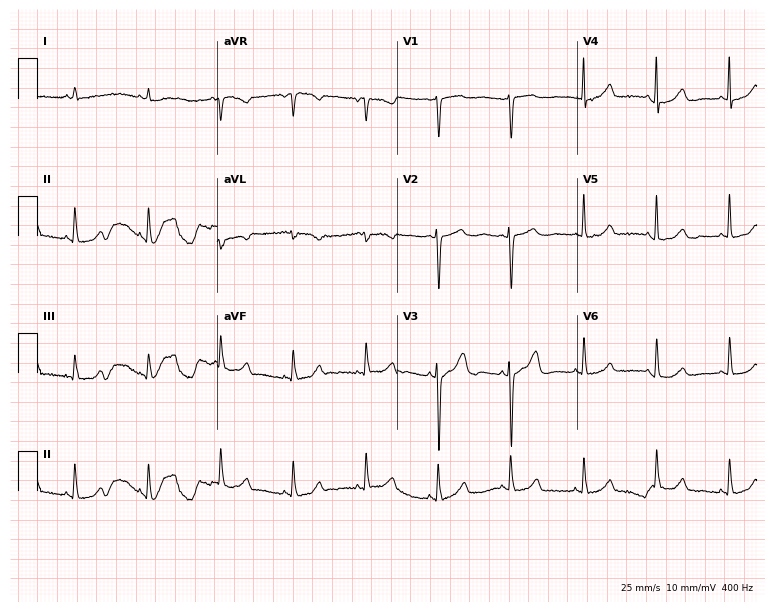
12-lead ECG from a female patient, 75 years old. Labelled as a normal ECG.